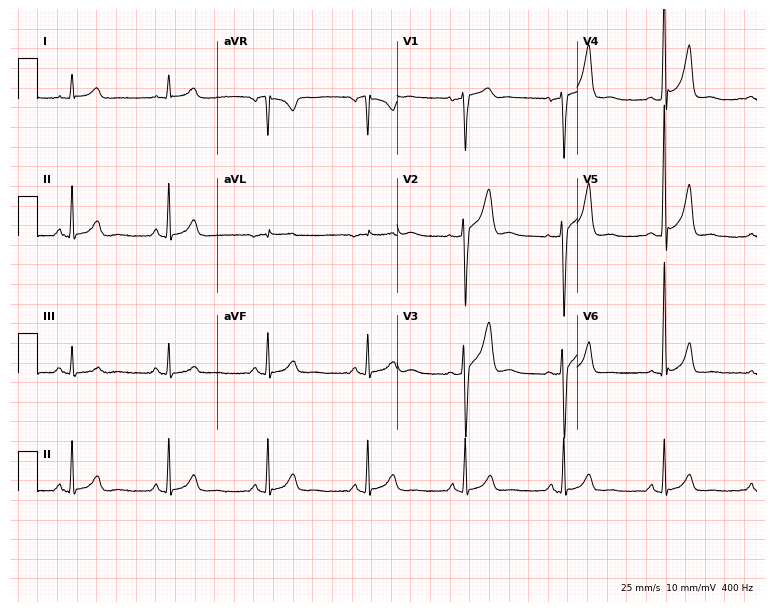
12-lead ECG (7.3-second recording at 400 Hz) from a 51-year-old man. Screened for six findings — first-degree AV block, right bundle branch block (RBBB), left bundle branch block (LBBB), sinus bradycardia, atrial fibrillation (AF), sinus tachycardia — none is recorded. Only these six findings were labelled.